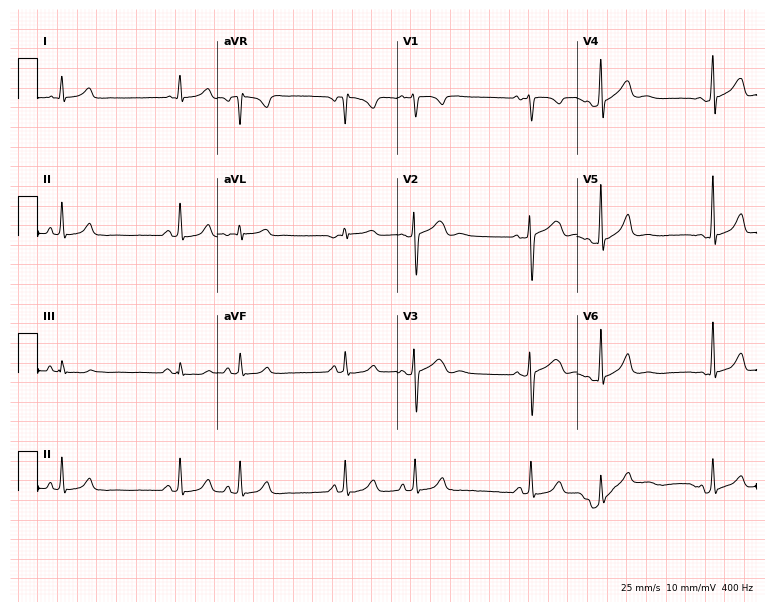
12-lead ECG from a female patient, 21 years old (7.3-second recording at 400 Hz). No first-degree AV block, right bundle branch block, left bundle branch block, sinus bradycardia, atrial fibrillation or sinus tachycardia recorded for this tracing. Only these six findings were labelled.